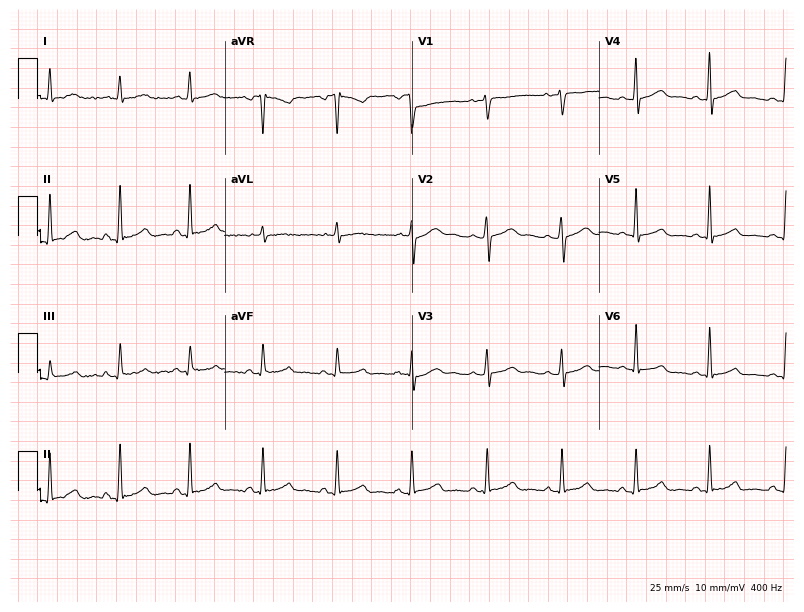
Electrocardiogram (7.6-second recording at 400 Hz), a woman, 38 years old. Overall reading on record: normal ECG.